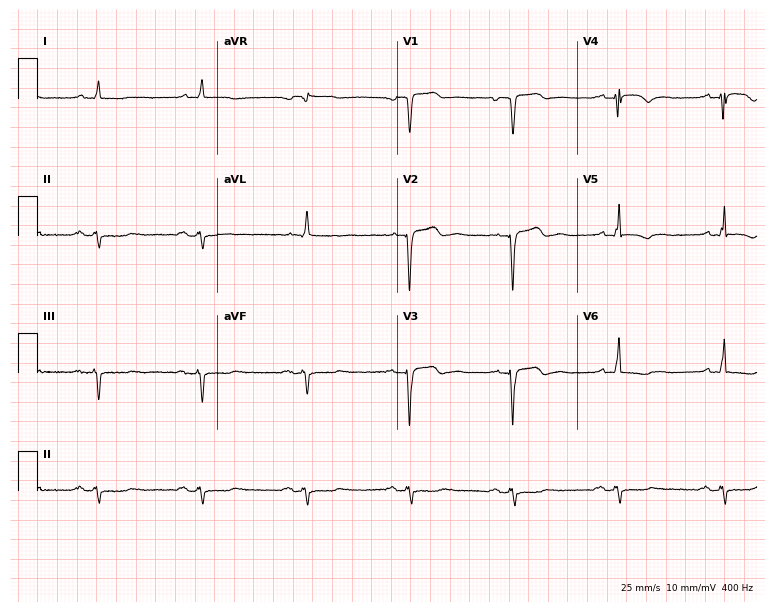
Standard 12-lead ECG recorded from a 66-year-old male patient (7.3-second recording at 400 Hz). None of these six findings is recorded: first-degree AV block, right bundle branch block (RBBB), left bundle branch block (LBBB), sinus bradycardia, atrial fibrillation (AF), sinus tachycardia.